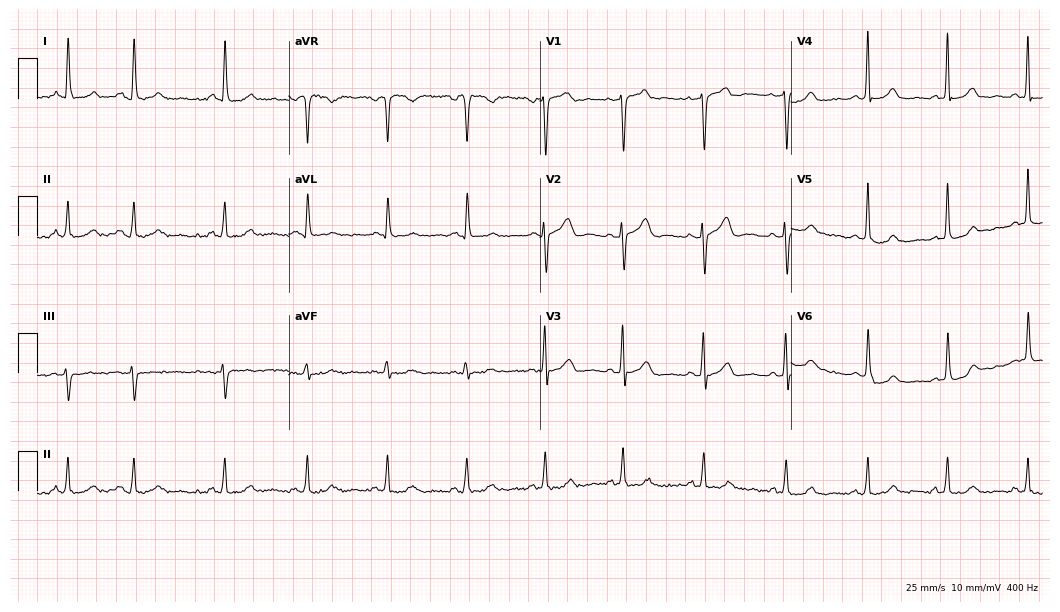
Standard 12-lead ECG recorded from a 28-year-old male patient. Read as a normal ECG.